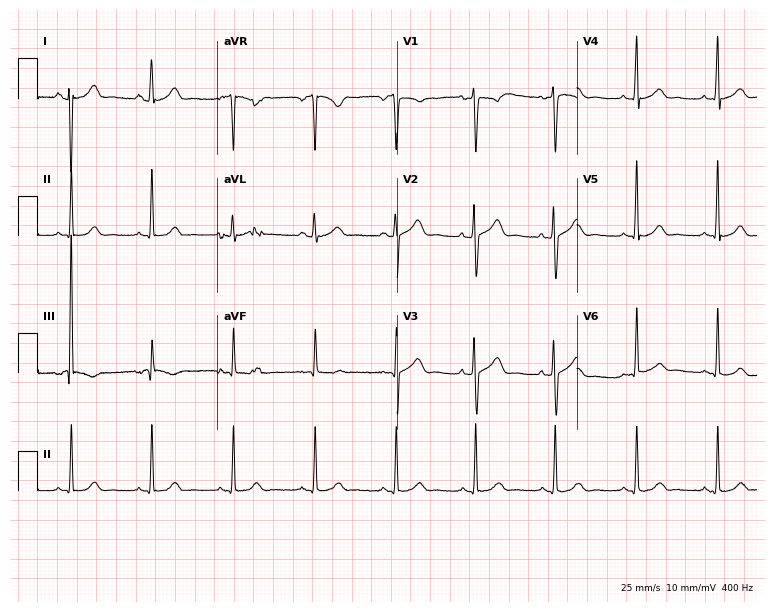
12-lead ECG (7.3-second recording at 400 Hz) from a 36-year-old woman. Labelled as a normal ECG.